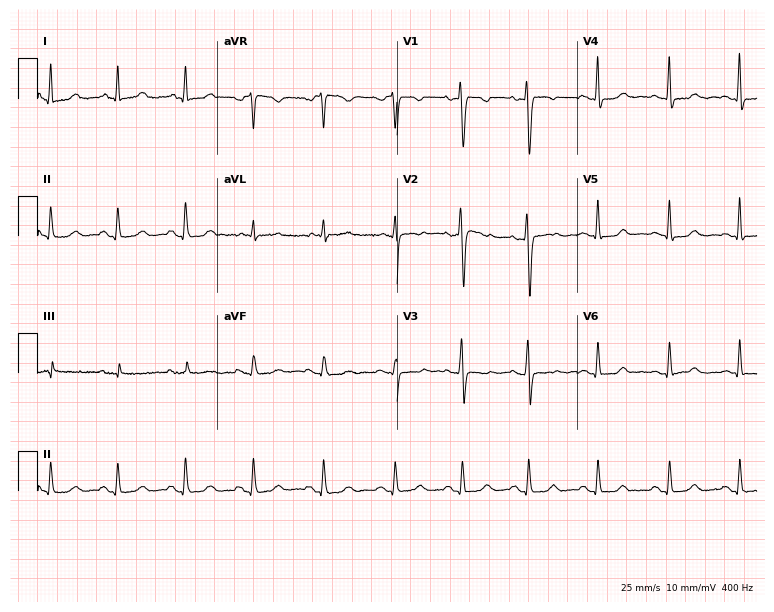
12-lead ECG from a 31-year-old female. Recorded interpretation: within normal limits.